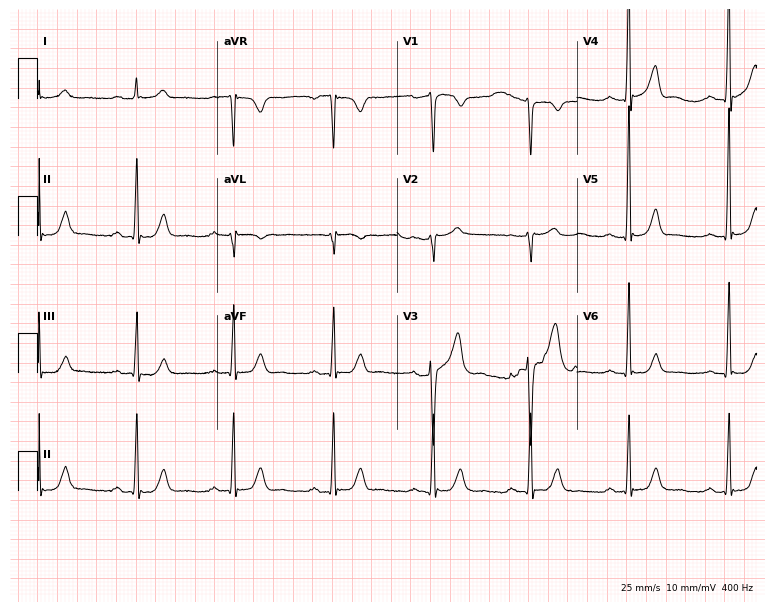
Resting 12-lead electrocardiogram. Patient: a 70-year-old male. None of these six findings is recorded: first-degree AV block, right bundle branch block, left bundle branch block, sinus bradycardia, atrial fibrillation, sinus tachycardia.